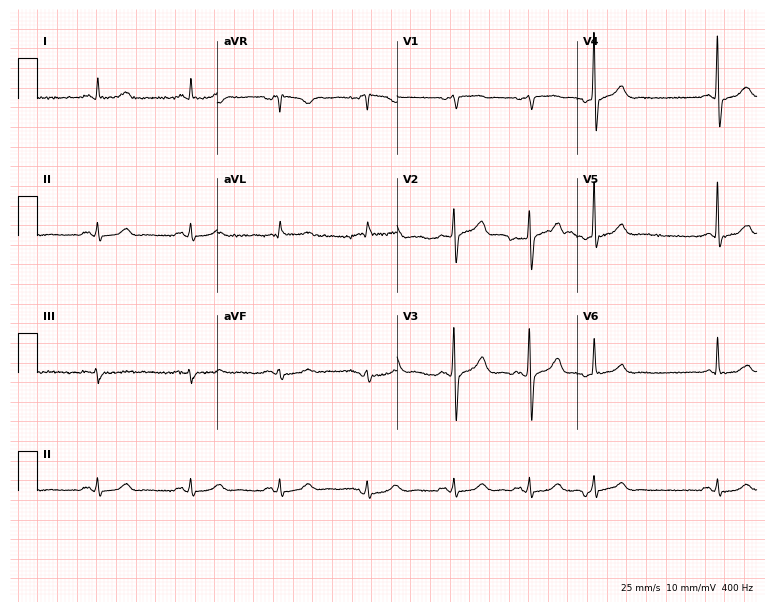
Resting 12-lead electrocardiogram (7.3-second recording at 400 Hz). Patient: a 66-year-old man. None of these six findings is recorded: first-degree AV block, right bundle branch block (RBBB), left bundle branch block (LBBB), sinus bradycardia, atrial fibrillation (AF), sinus tachycardia. Other findings, if any, are not listed.